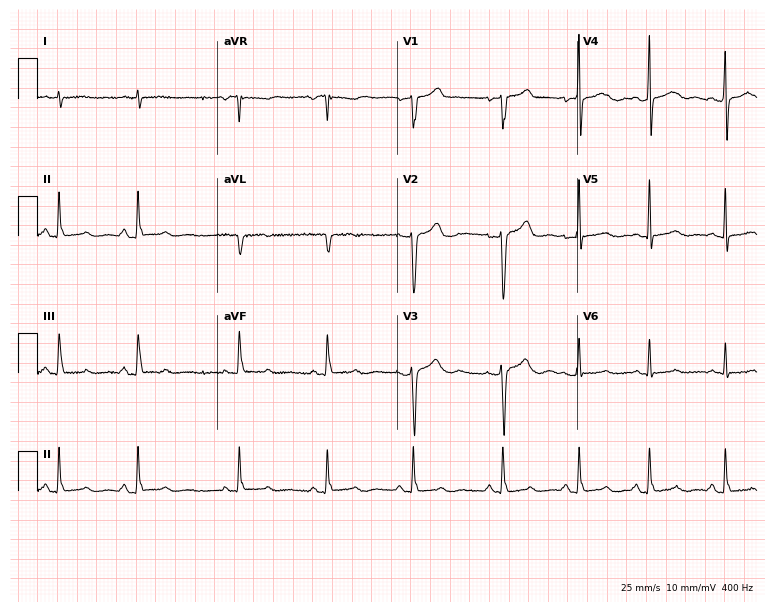
12-lead ECG from a 21-year-old male. No first-degree AV block, right bundle branch block (RBBB), left bundle branch block (LBBB), sinus bradycardia, atrial fibrillation (AF) or sinus tachycardia recorded for this tracing.